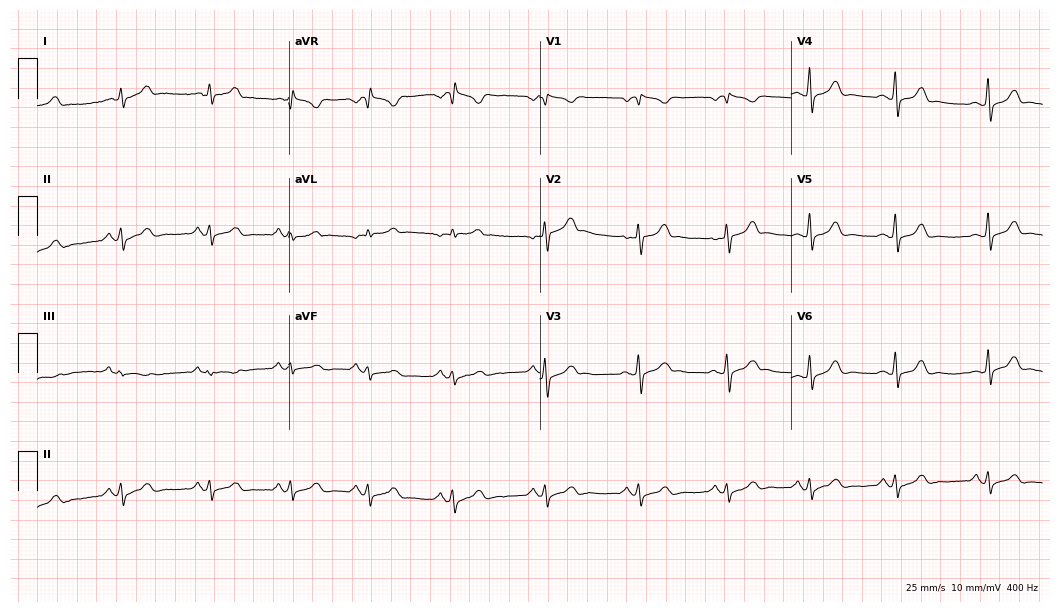
12-lead ECG from a 27-year-old female patient. Labelled as a normal ECG.